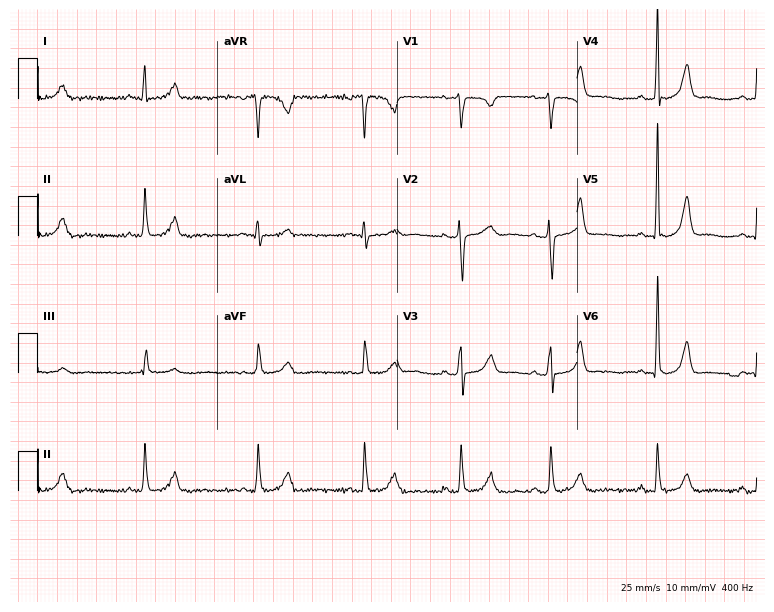
ECG — a woman, 45 years old. Labelled as a normal ECG.